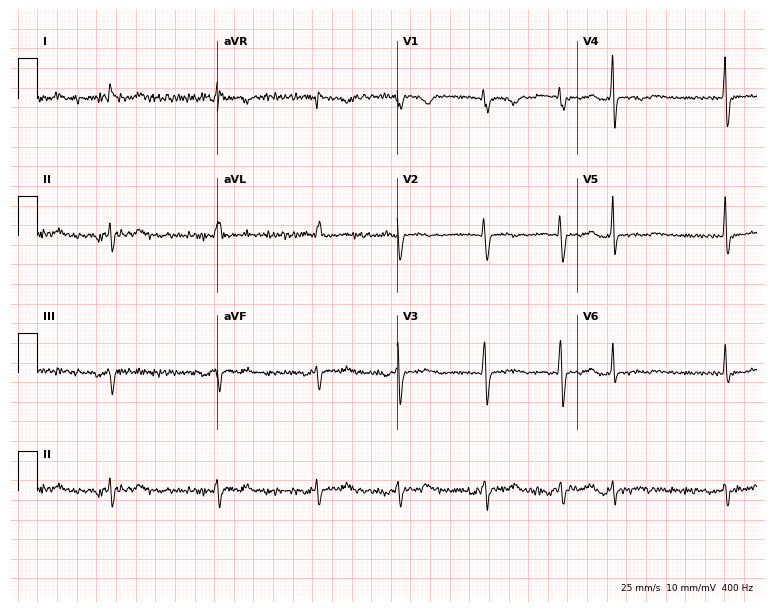
Standard 12-lead ECG recorded from a woman, 75 years old (7.3-second recording at 400 Hz). None of these six findings is recorded: first-degree AV block, right bundle branch block, left bundle branch block, sinus bradycardia, atrial fibrillation, sinus tachycardia. Only these six findings were labelled.